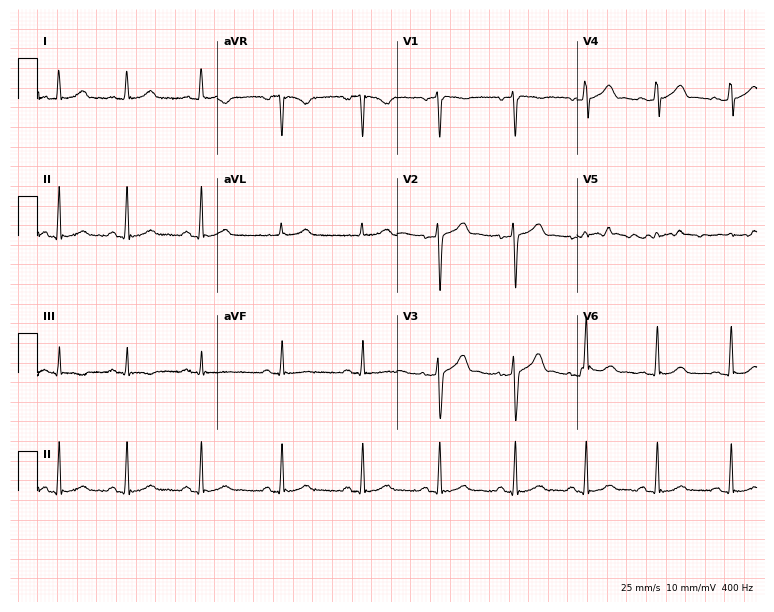
Electrocardiogram (7.3-second recording at 400 Hz), a man, 29 years old. Overall reading on record: normal ECG.